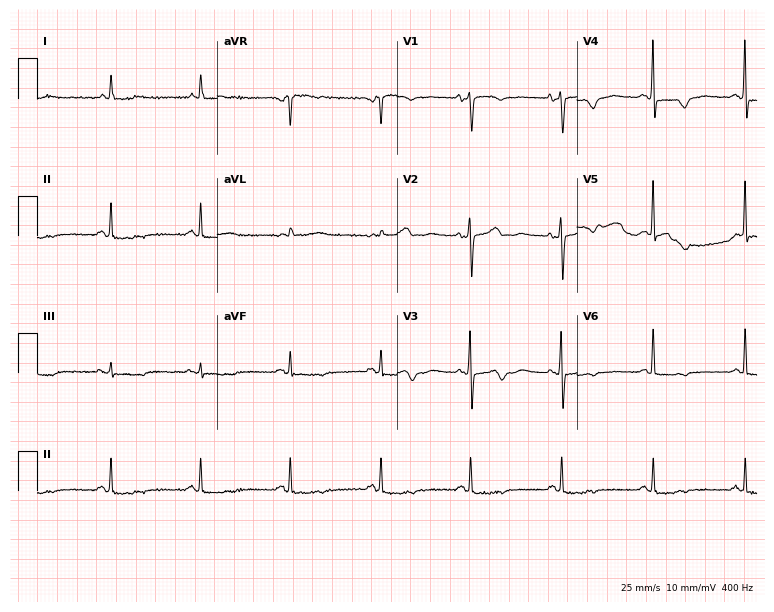
ECG — a female, 87 years old. Screened for six findings — first-degree AV block, right bundle branch block, left bundle branch block, sinus bradycardia, atrial fibrillation, sinus tachycardia — none is recorded. Other findings, if any, are not listed.